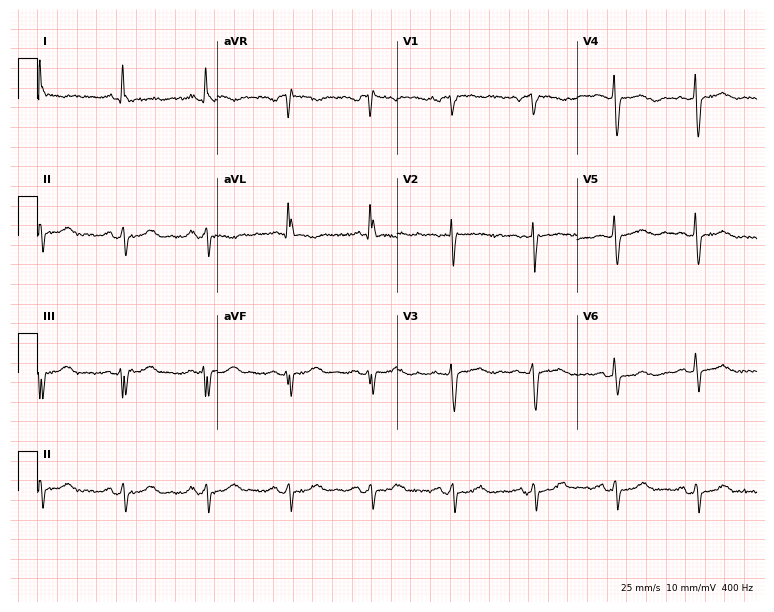
Standard 12-lead ECG recorded from a woman, 57 years old. None of these six findings is recorded: first-degree AV block, right bundle branch block (RBBB), left bundle branch block (LBBB), sinus bradycardia, atrial fibrillation (AF), sinus tachycardia. Only these six findings were labelled.